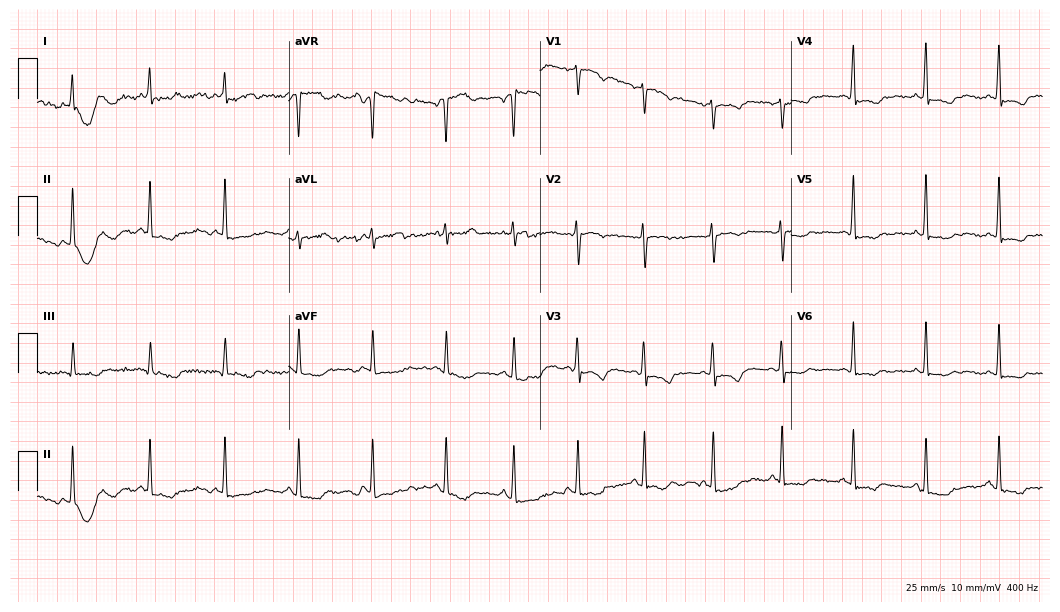
Resting 12-lead electrocardiogram (10.2-second recording at 400 Hz). Patient: a 41-year-old woman. None of these six findings is recorded: first-degree AV block, right bundle branch block, left bundle branch block, sinus bradycardia, atrial fibrillation, sinus tachycardia.